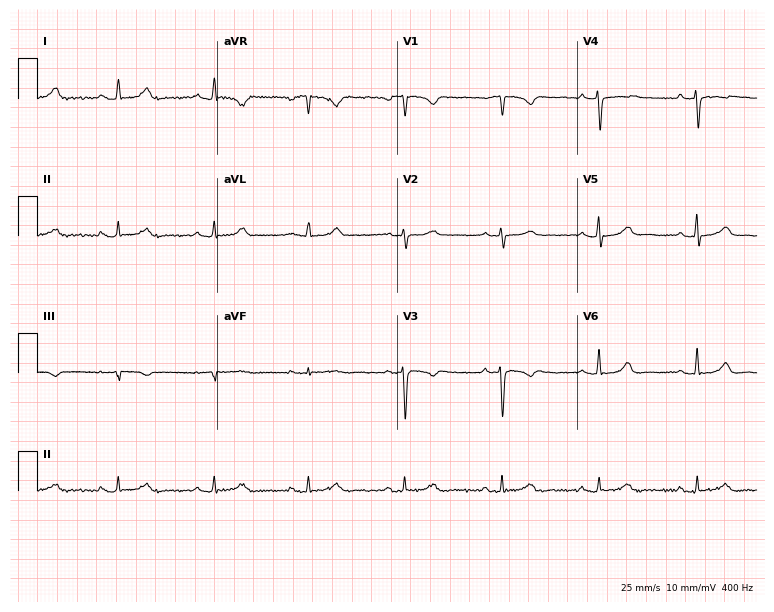
Resting 12-lead electrocardiogram. Patient: a woman, 29 years old. Read as a normal ECG.